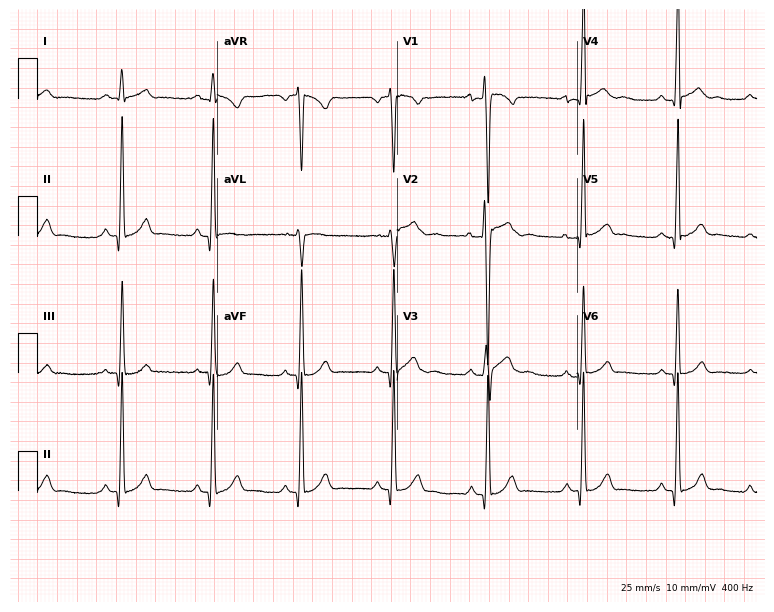
Electrocardiogram, a 19-year-old male patient. Overall reading on record: normal ECG.